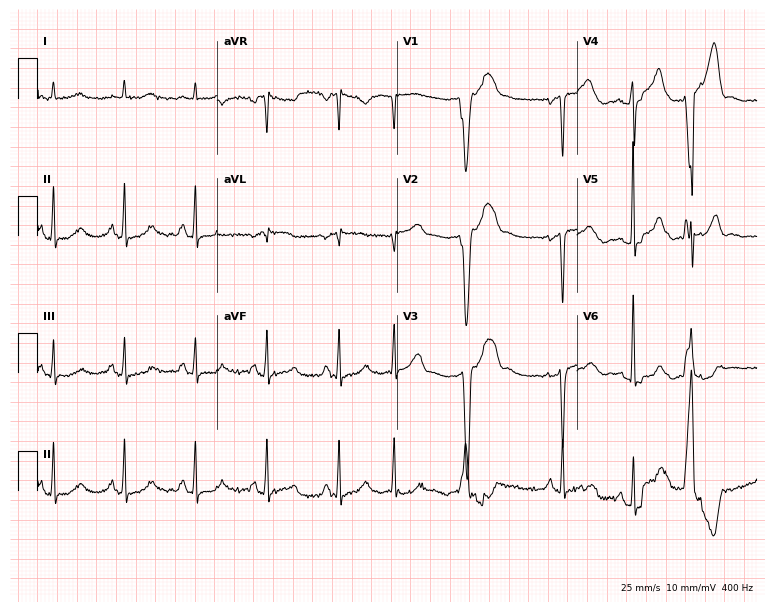
ECG (7.3-second recording at 400 Hz) — a 72-year-old man. Screened for six findings — first-degree AV block, right bundle branch block, left bundle branch block, sinus bradycardia, atrial fibrillation, sinus tachycardia — none is recorded.